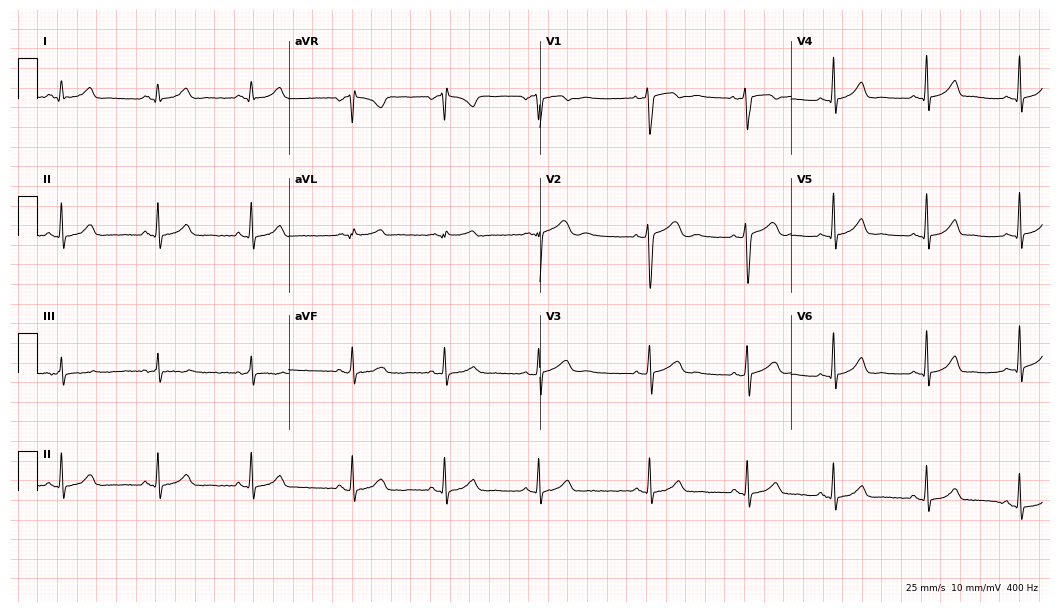
Electrocardiogram, a 27-year-old woman. Overall reading on record: normal ECG.